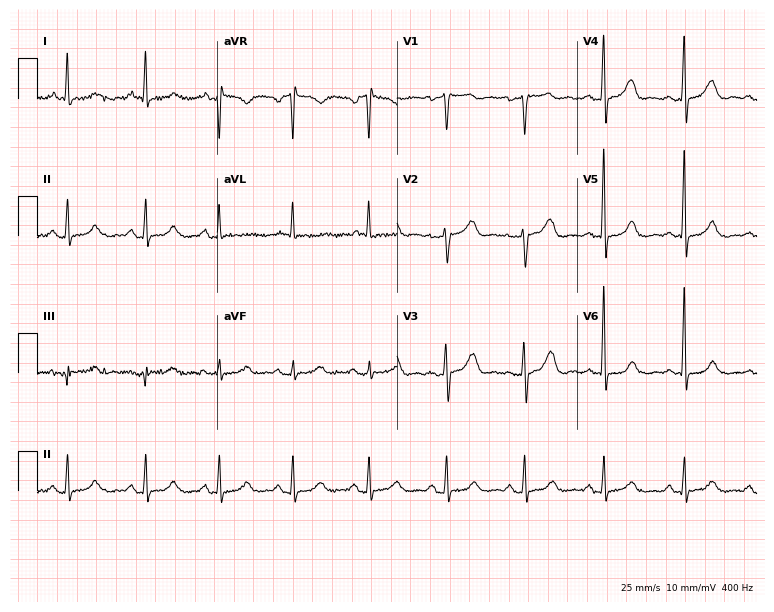
12-lead ECG from a 74-year-old female patient. No first-degree AV block, right bundle branch block (RBBB), left bundle branch block (LBBB), sinus bradycardia, atrial fibrillation (AF) or sinus tachycardia recorded for this tracing. Other findings, if any, are not listed.